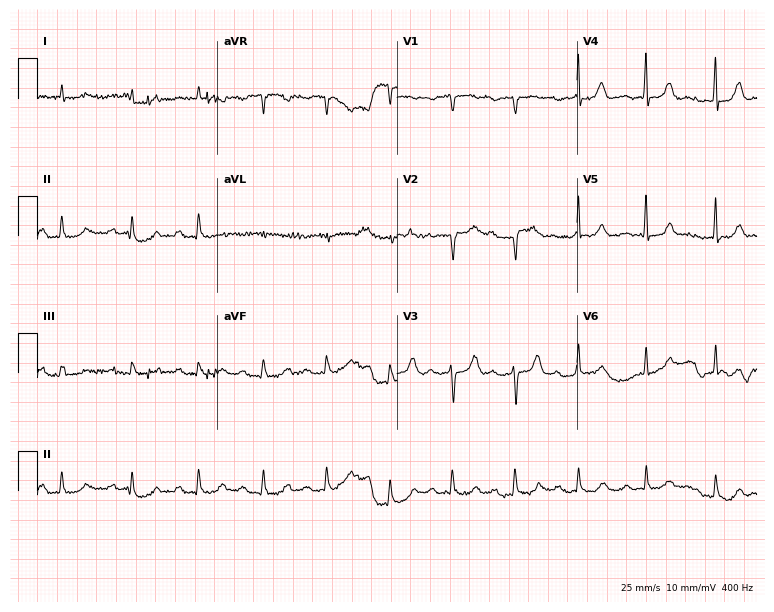
Standard 12-lead ECG recorded from a male patient, 75 years old (7.3-second recording at 400 Hz). None of these six findings is recorded: first-degree AV block, right bundle branch block (RBBB), left bundle branch block (LBBB), sinus bradycardia, atrial fibrillation (AF), sinus tachycardia.